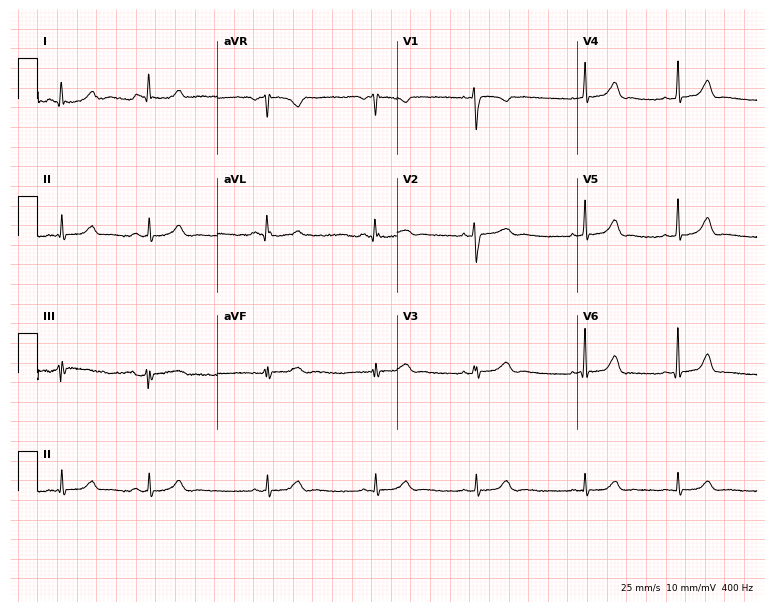
Electrocardiogram, a 36-year-old female. Overall reading on record: normal ECG.